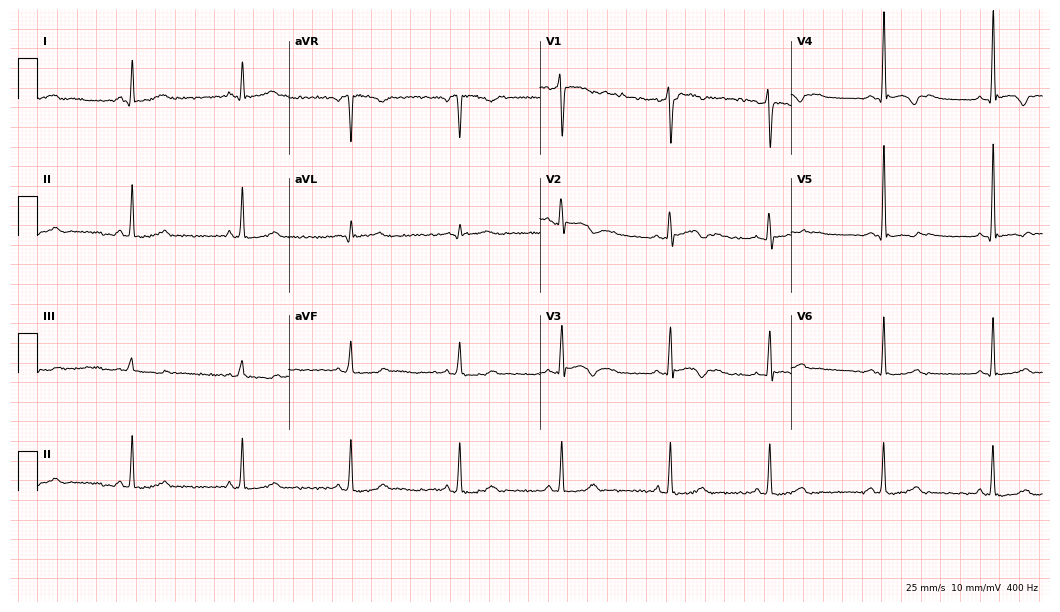
ECG — a female patient, 30 years old. Screened for six findings — first-degree AV block, right bundle branch block, left bundle branch block, sinus bradycardia, atrial fibrillation, sinus tachycardia — none is recorded. Other findings, if any, are not listed.